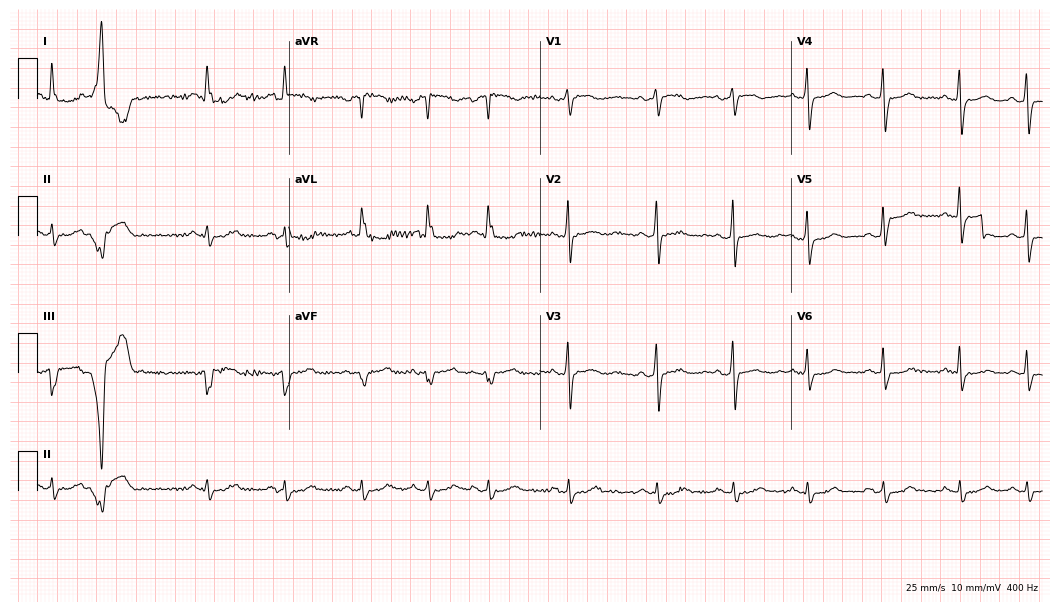
Resting 12-lead electrocardiogram (10.2-second recording at 400 Hz). Patient: a woman, 71 years old. None of these six findings is recorded: first-degree AV block, right bundle branch block, left bundle branch block, sinus bradycardia, atrial fibrillation, sinus tachycardia.